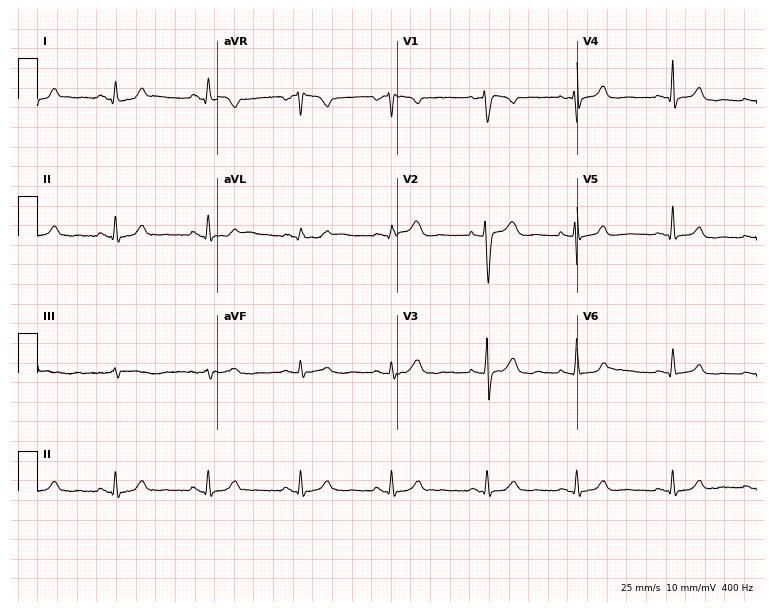
12-lead ECG from a 39-year-old female patient (7.3-second recording at 400 Hz). No first-degree AV block, right bundle branch block (RBBB), left bundle branch block (LBBB), sinus bradycardia, atrial fibrillation (AF) or sinus tachycardia recorded for this tracing. Only these six findings were labelled.